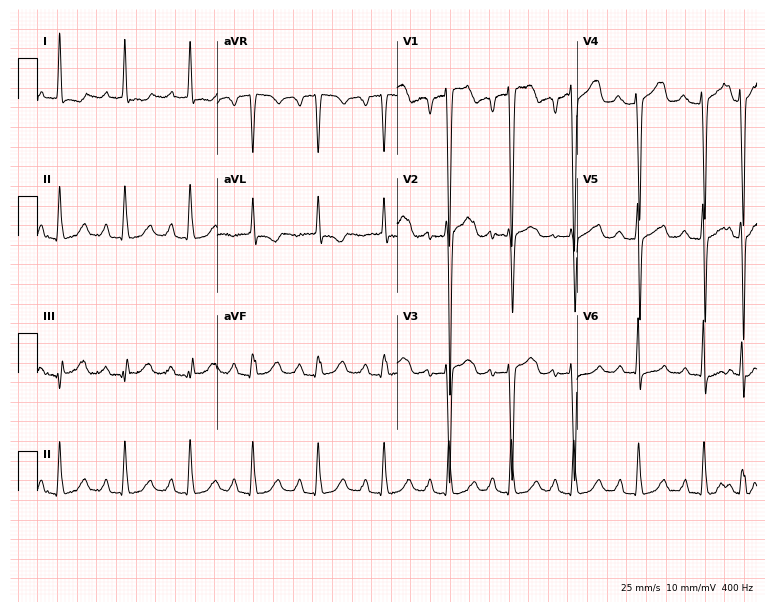
12-lead ECG from a 62-year-old woman. No first-degree AV block, right bundle branch block, left bundle branch block, sinus bradycardia, atrial fibrillation or sinus tachycardia recorded for this tracing. Only these six findings were labelled.